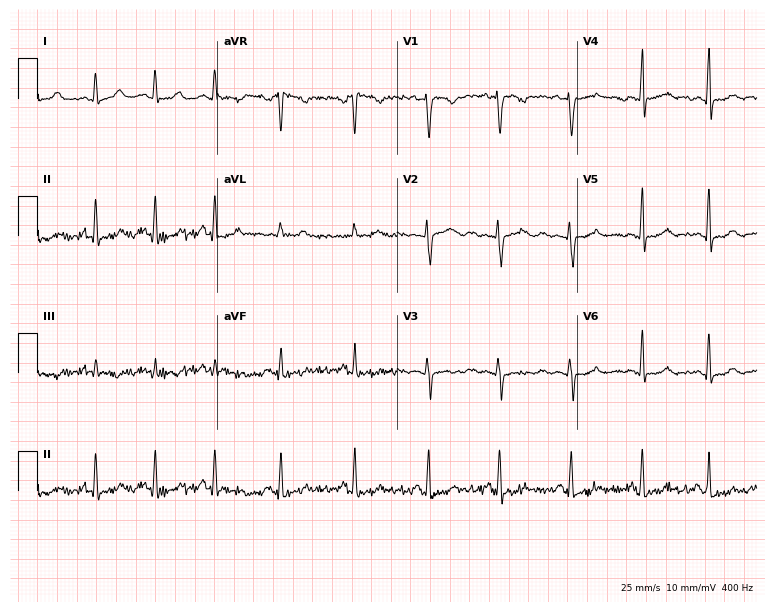
Standard 12-lead ECG recorded from an 18-year-old woman. None of these six findings is recorded: first-degree AV block, right bundle branch block, left bundle branch block, sinus bradycardia, atrial fibrillation, sinus tachycardia. Only these six findings were labelled.